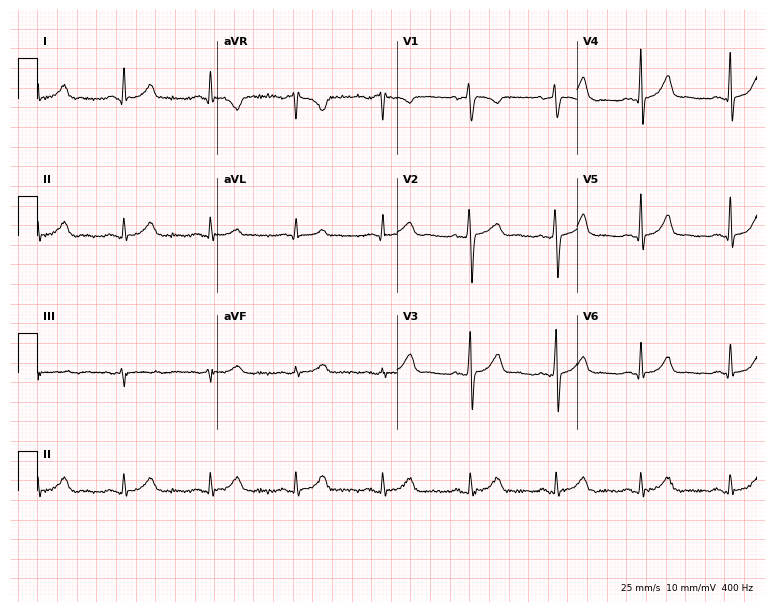
ECG (7.3-second recording at 400 Hz) — a 43-year-old woman. Labelled as a normal ECG.